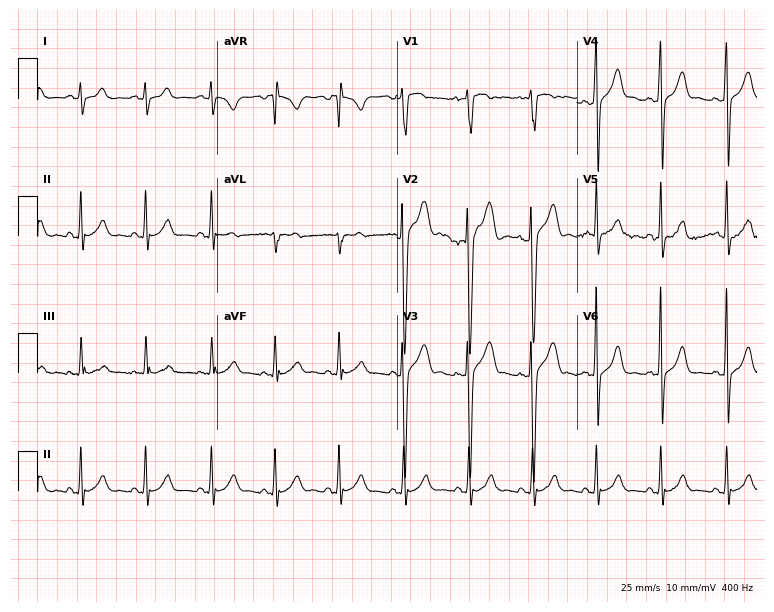
12-lead ECG from a man, 21 years old. Recorded interpretation: within normal limits.